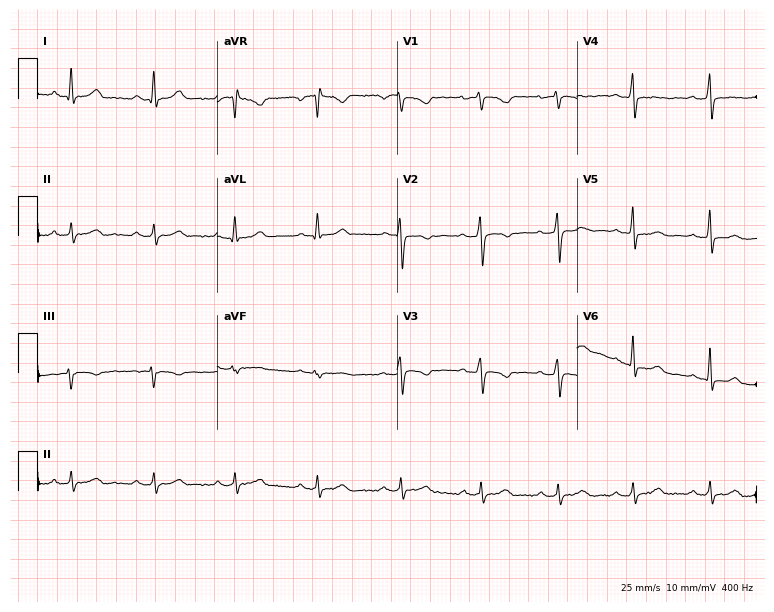
Standard 12-lead ECG recorded from a female patient, 28 years old (7.3-second recording at 400 Hz). None of these six findings is recorded: first-degree AV block, right bundle branch block, left bundle branch block, sinus bradycardia, atrial fibrillation, sinus tachycardia. Other findings, if any, are not listed.